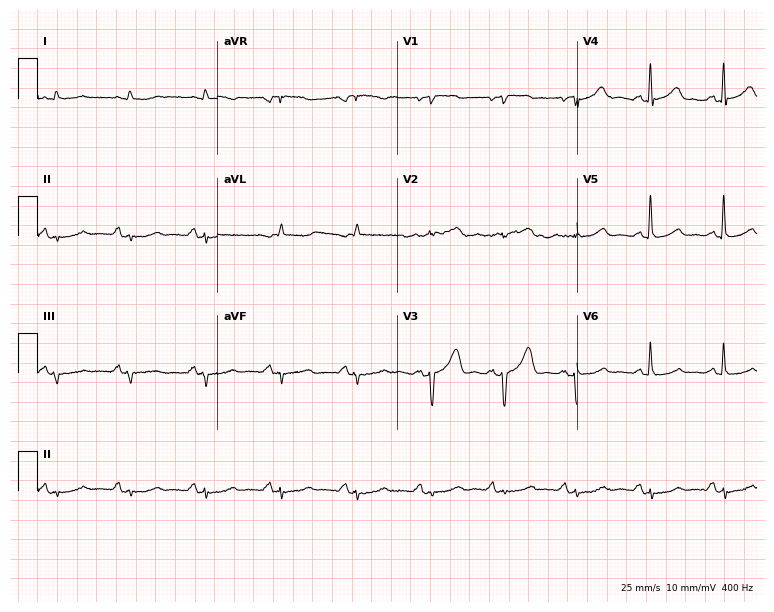
12-lead ECG from a male, 70 years old. Screened for six findings — first-degree AV block, right bundle branch block, left bundle branch block, sinus bradycardia, atrial fibrillation, sinus tachycardia — none is recorded.